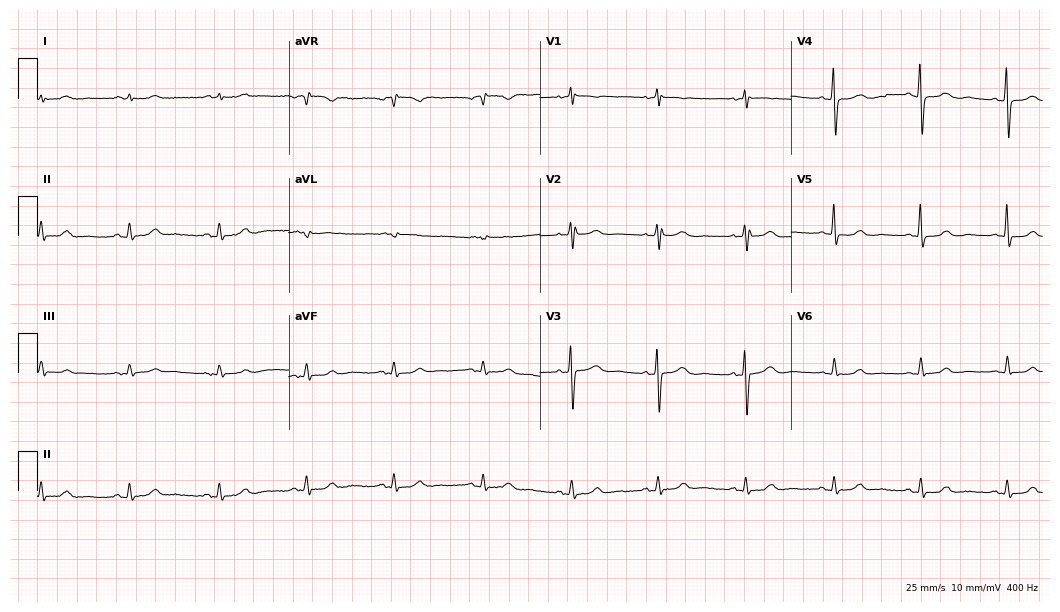
Standard 12-lead ECG recorded from a female, 74 years old (10.2-second recording at 400 Hz). Read as a normal ECG.